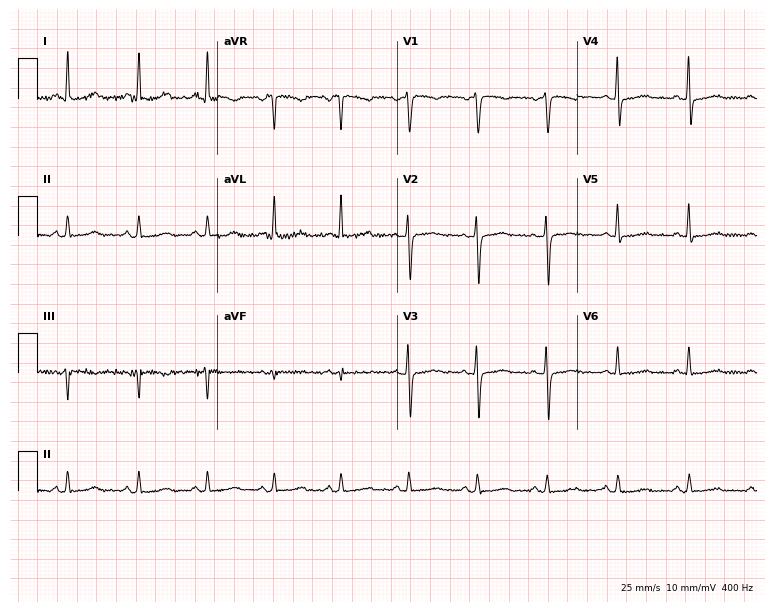
Resting 12-lead electrocardiogram (7.3-second recording at 400 Hz). Patient: a female, 70 years old. None of these six findings is recorded: first-degree AV block, right bundle branch block, left bundle branch block, sinus bradycardia, atrial fibrillation, sinus tachycardia.